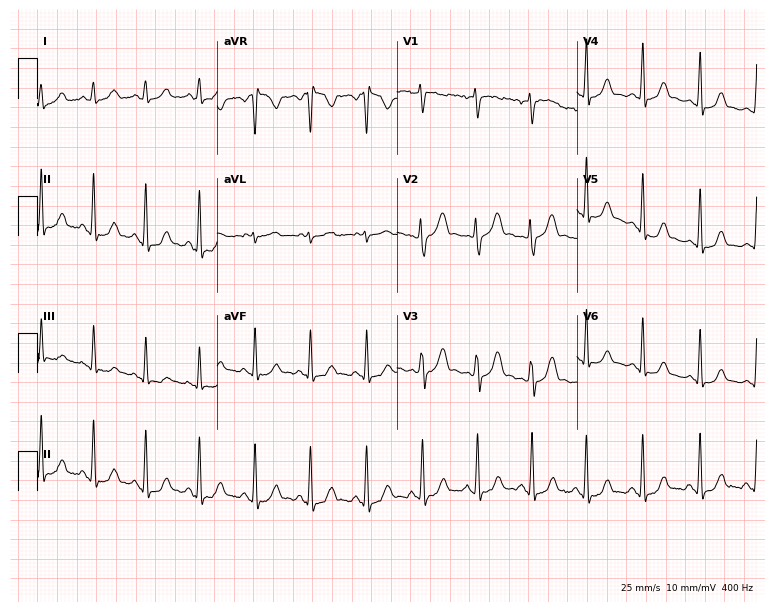
ECG (7.3-second recording at 400 Hz) — a 22-year-old woman. Findings include sinus tachycardia (a sinus rate of 100 beats per minute or more).